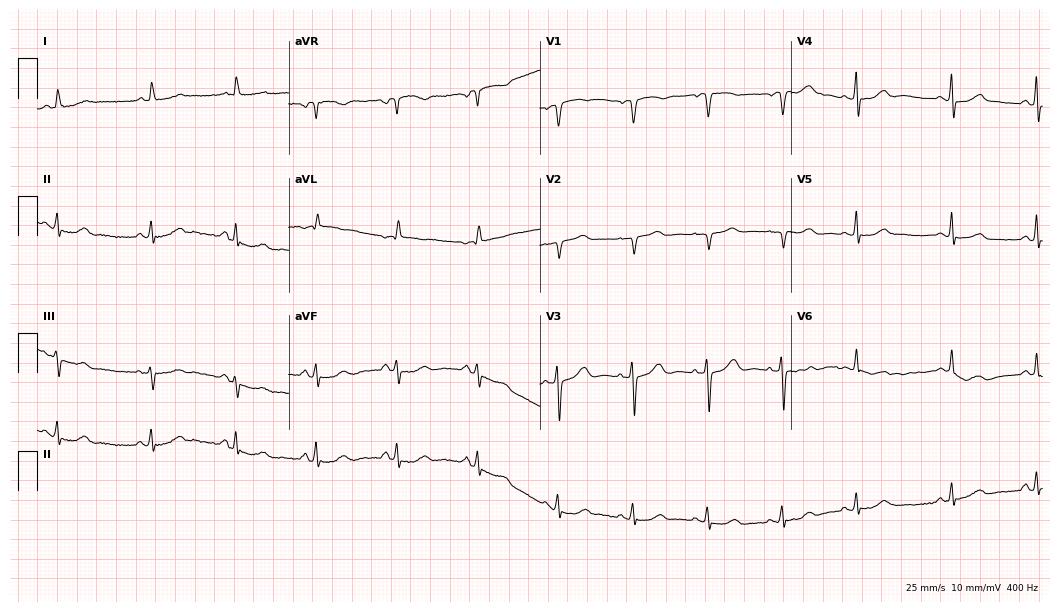
Standard 12-lead ECG recorded from an 84-year-old female. Read as a normal ECG.